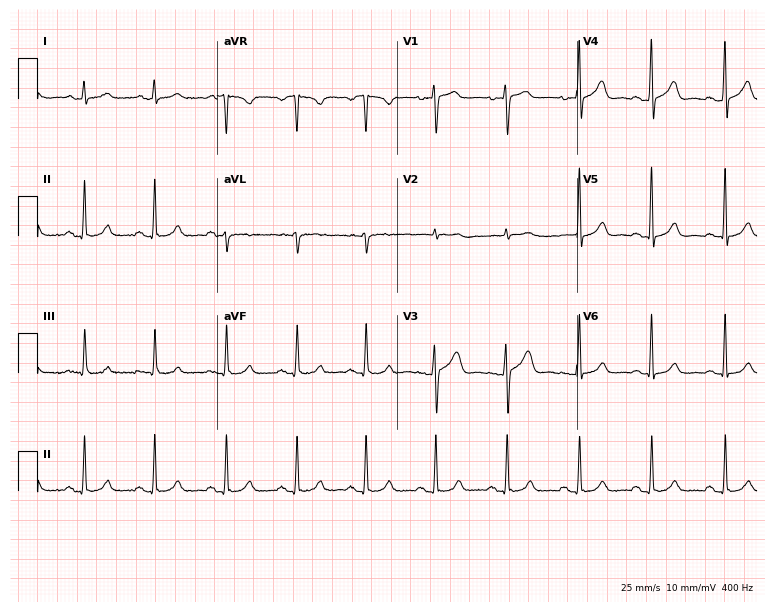
12-lead ECG from a 56-year-old female. Recorded interpretation: within normal limits.